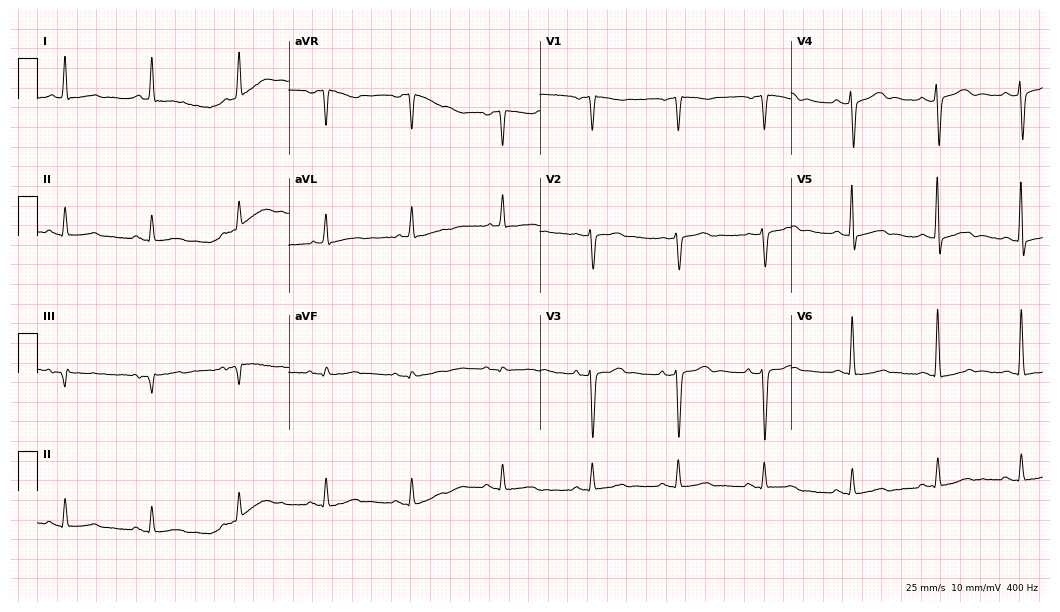
Standard 12-lead ECG recorded from a 71-year-old man. None of these six findings is recorded: first-degree AV block, right bundle branch block, left bundle branch block, sinus bradycardia, atrial fibrillation, sinus tachycardia.